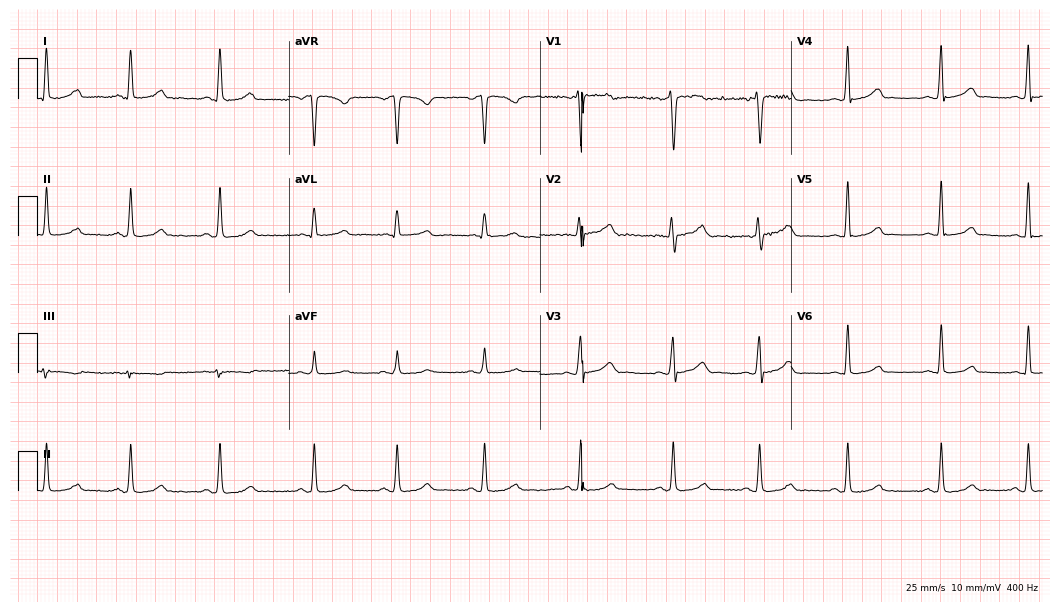
Standard 12-lead ECG recorded from a 17-year-old man (10.2-second recording at 400 Hz). Read as a normal ECG.